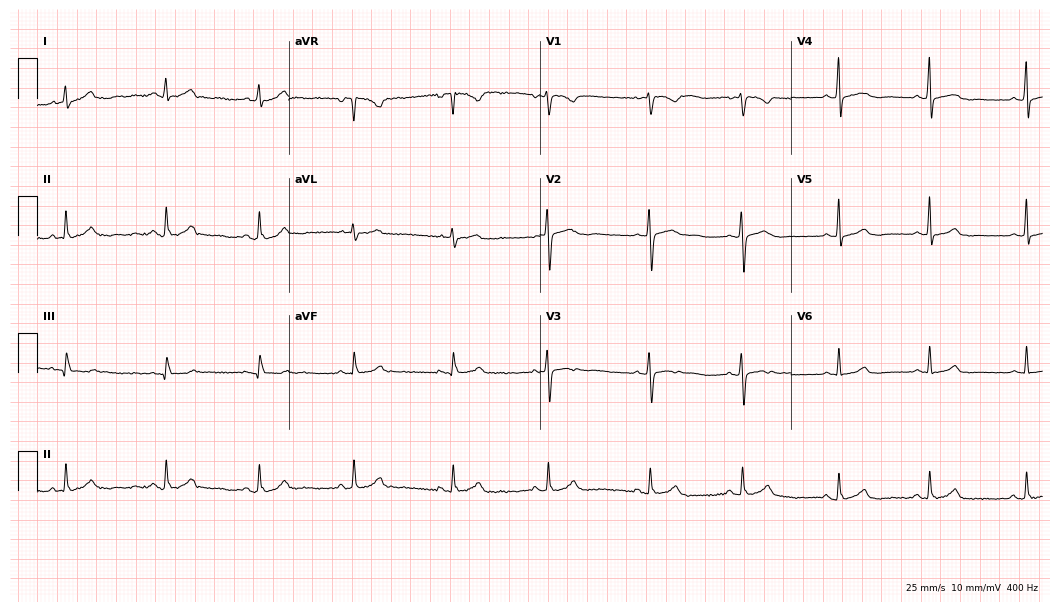
ECG — a 39-year-old female. Screened for six findings — first-degree AV block, right bundle branch block, left bundle branch block, sinus bradycardia, atrial fibrillation, sinus tachycardia — none is recorded.